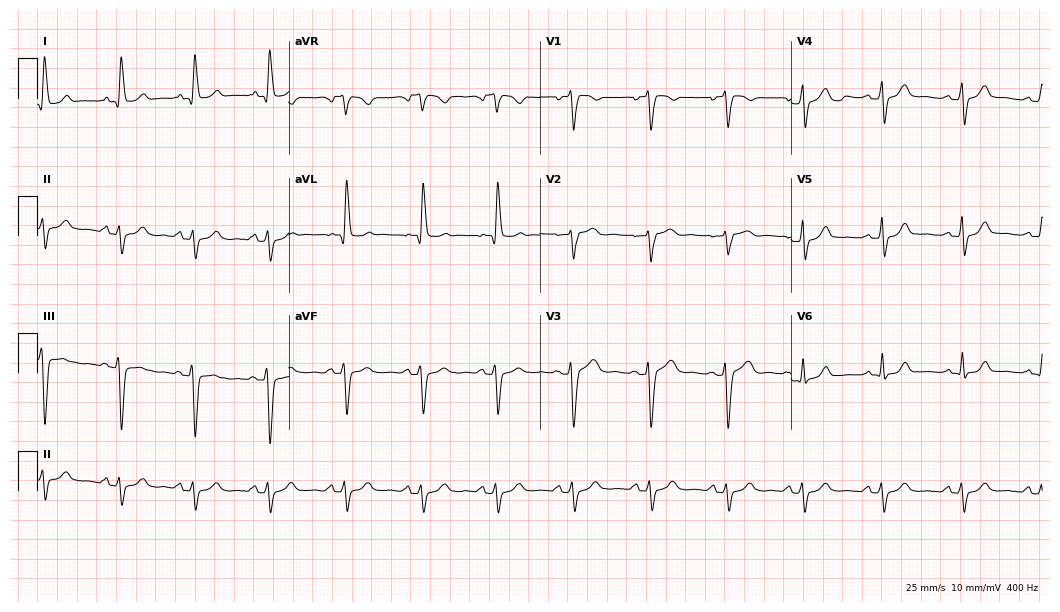
Electrocardiogram, a woman, 24 years old. Of the six screened findings (first-degree AV block, right bundle branch block (RBBB), left bundle branch block (LBBB), sinus bradycardia, atrial fibrillation (AF), sinus tachycardia), none is recorded. Only these six findings were labelled.